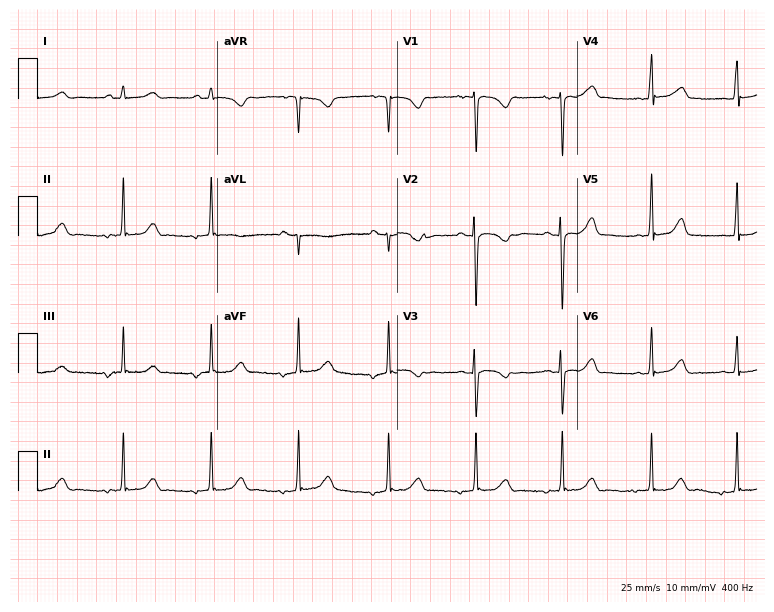
12-lead ECG from a 17-year-old female. Screened for six findings — first-degree AV block, right bundle branch block, left bundle branch block, sinus bradycardia, atrial fibrillation, sinus tachycardia — none is recorded.